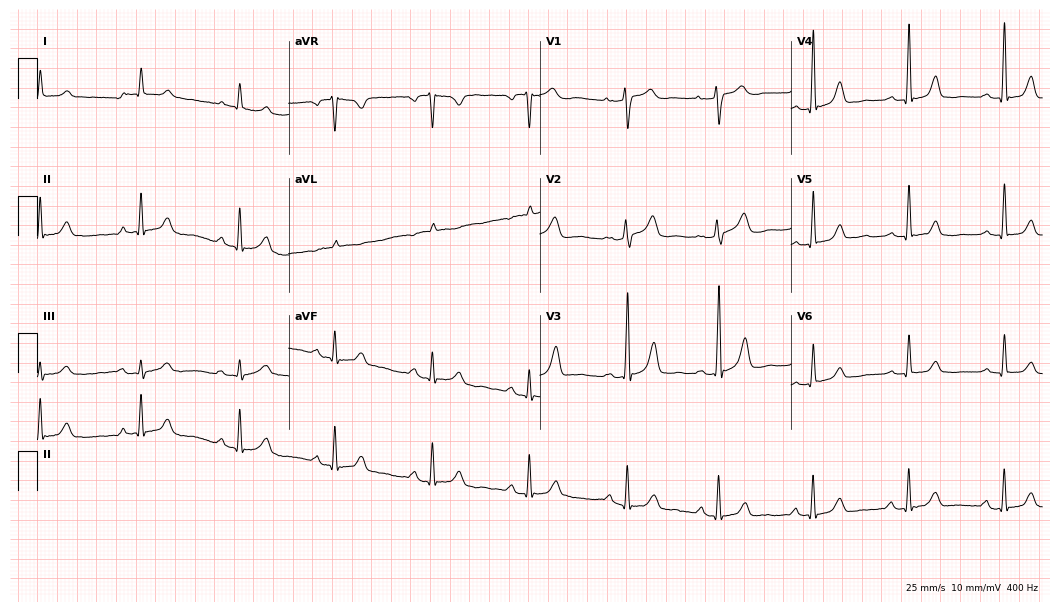
12-lead ECG (10.2-second recording at 400 Hz) from a 67-year-old female patient. Labelled as a normal ECG.